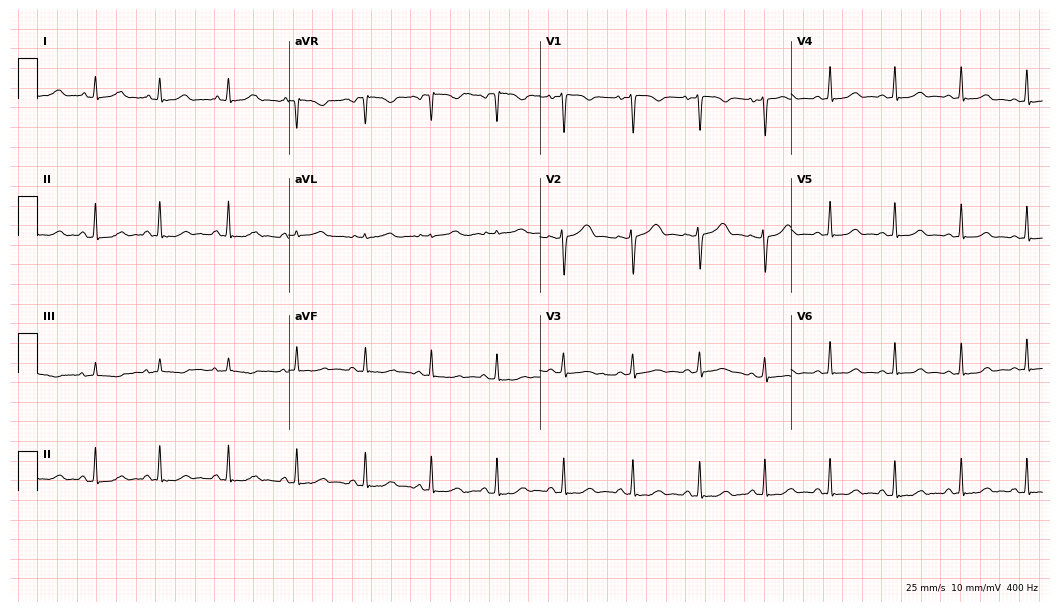
ECG — a woman, 29 years old. Labelled as a normal ECG.